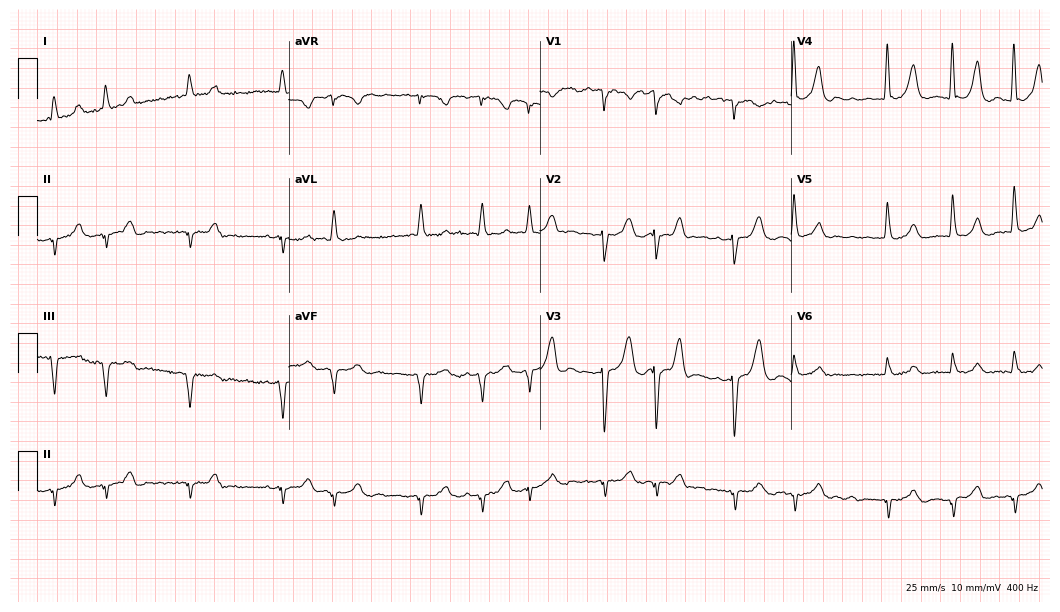
Resting 12-lead electrocardiogram (10.2-second recording at 400 Hz). Patient: a man, 83 years old. The tracing shows atrial fibrillation.